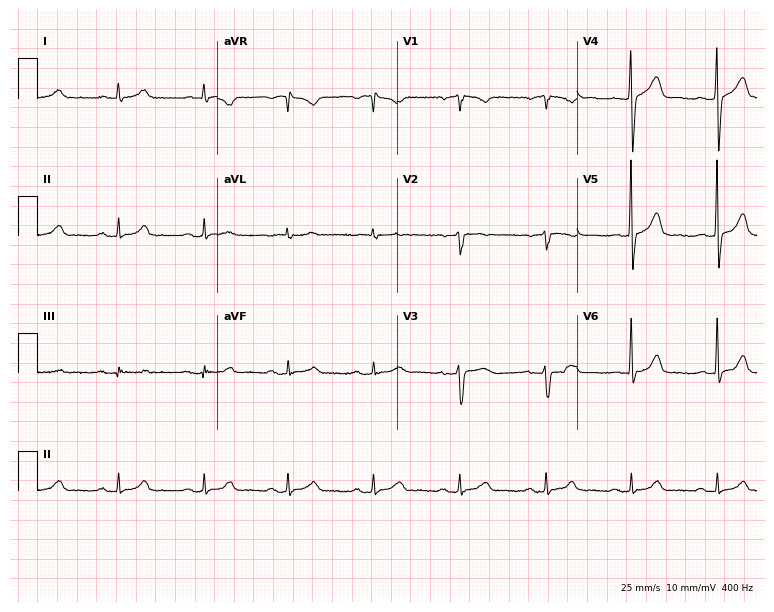
ECG (7.3-second recording at 400 Hz) — a 59-year-old female patient. Labelled as a normal ECG.